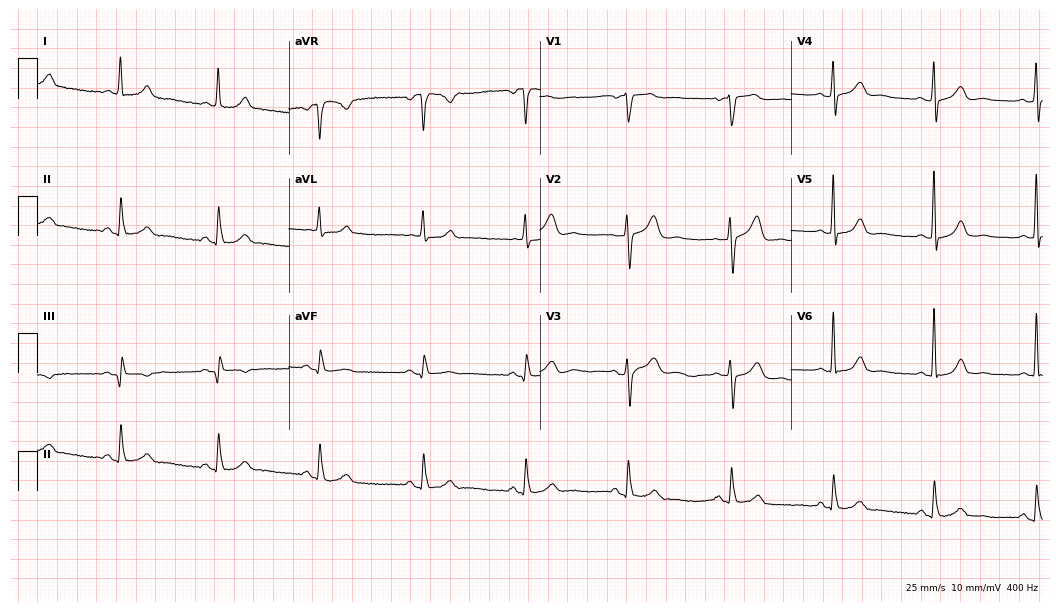
12-lead ECG from a 62-year-old woman (10.2-second recording at 400 Hz). Recorded interpretation: within normal limits.